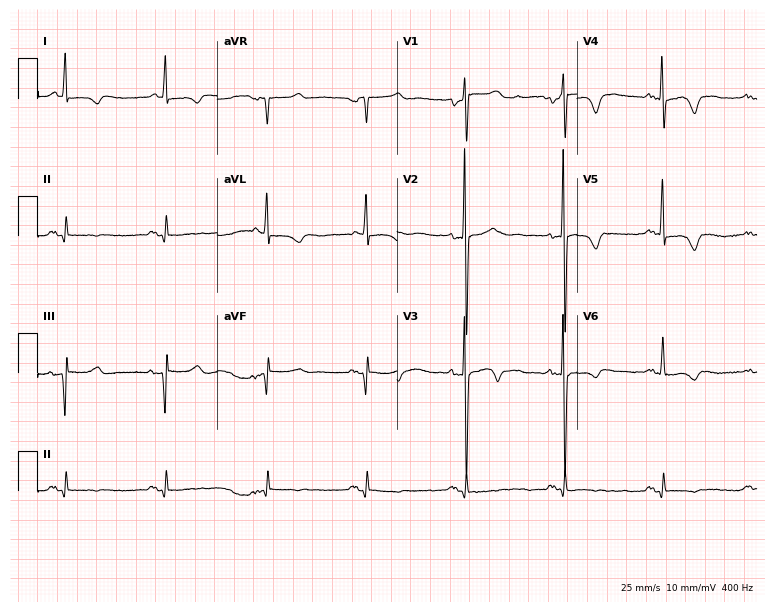
12-lead ECG from a male, 81 years old. Screened for six findings — first-degree AV block, right bundle branch block, left bundle branch block, sinus bradycardia, atrial fibrillation, sinus tachycardia — none is recorded.